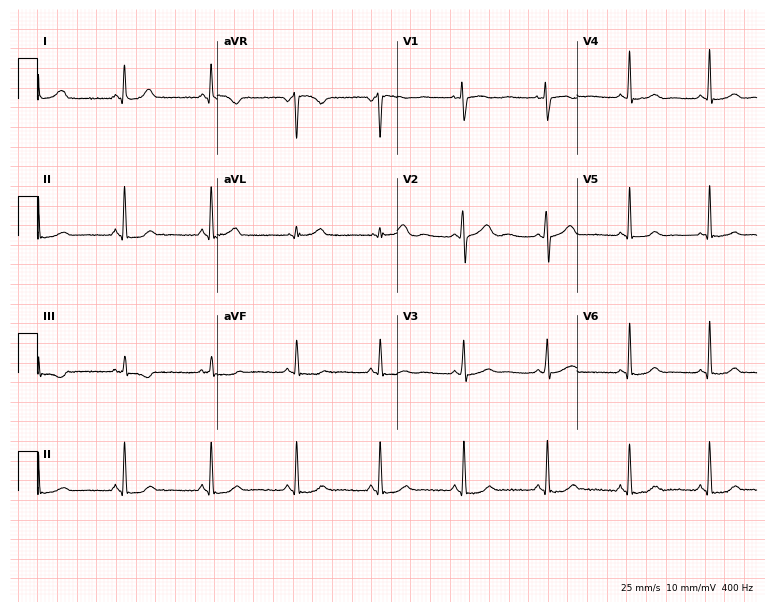
Electrocardiogram (7.3-second recording at 400 Hz), a 36-year-old female. Overall reading on record: normal ECG.